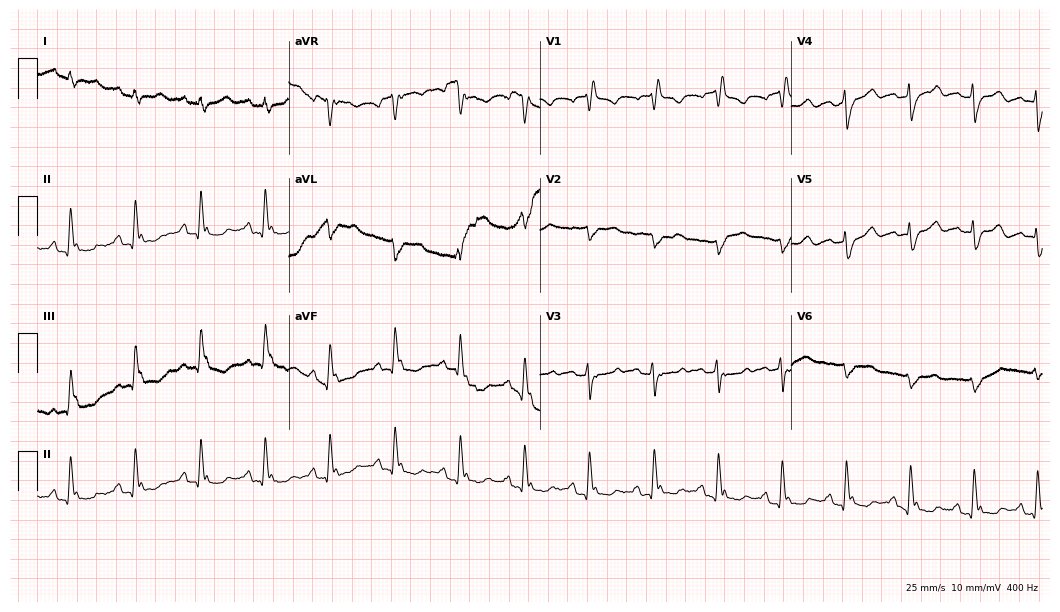
12-lead ECG from a woman, 75 years old. No first-degree AV block, right bundle branch block, left bundle branch block, sinus bradycardia, atrial fibrillation or sinus tachycardia recorded for this tracing. Only these six findings were labelled.